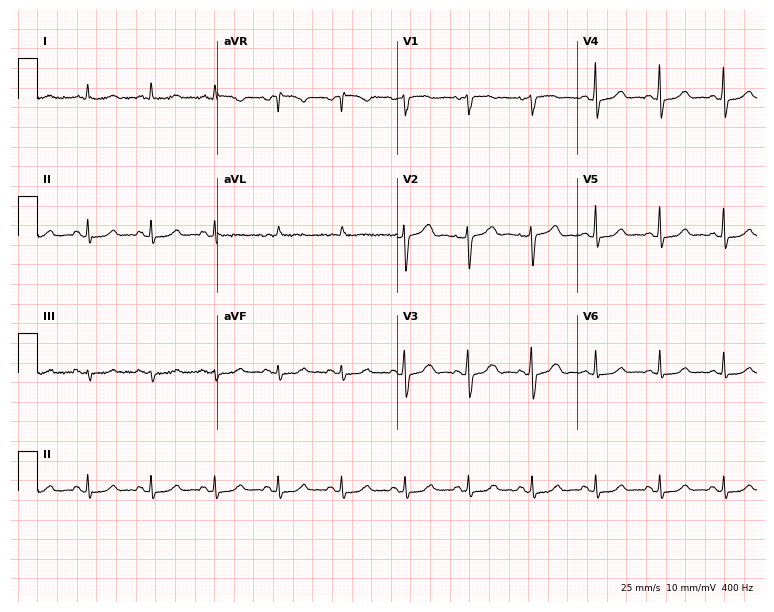
Resting 12-lead electrocardiogram. Patient: an 80-year-old woman. Read as a normal ECG.